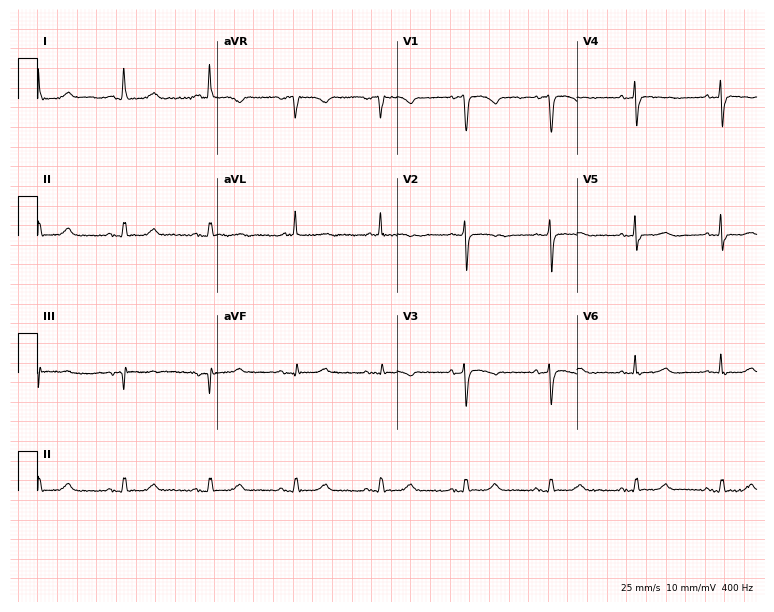
Electrocardiogram, a female patient, 77 years old. Overall reading on record: normal ECG.